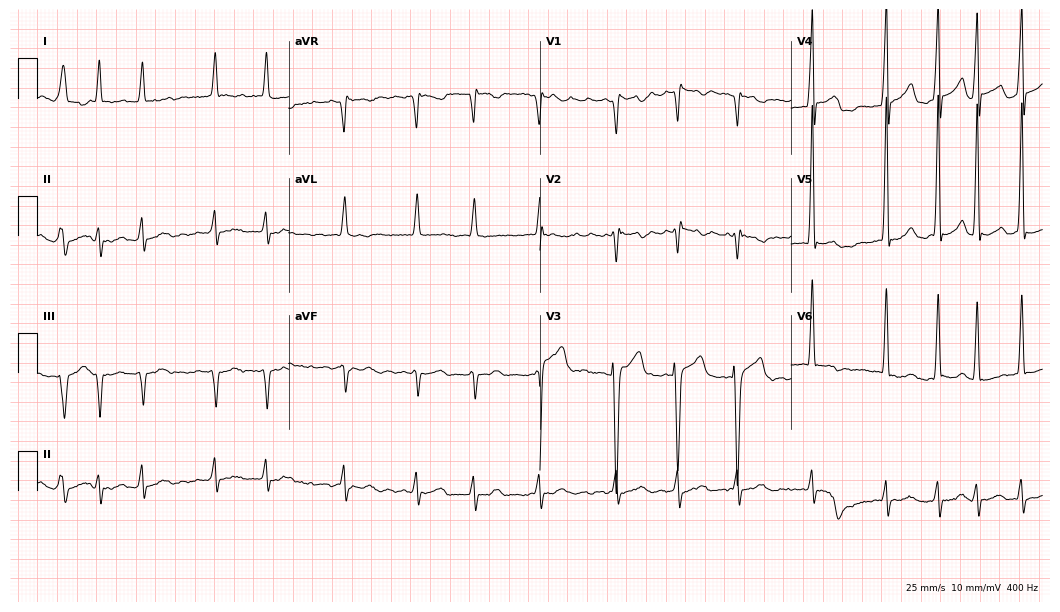
12-lead ECG (10.2-second recording at 400 Hz) from a male, 64 years old. Findings include atrial fibrillation.